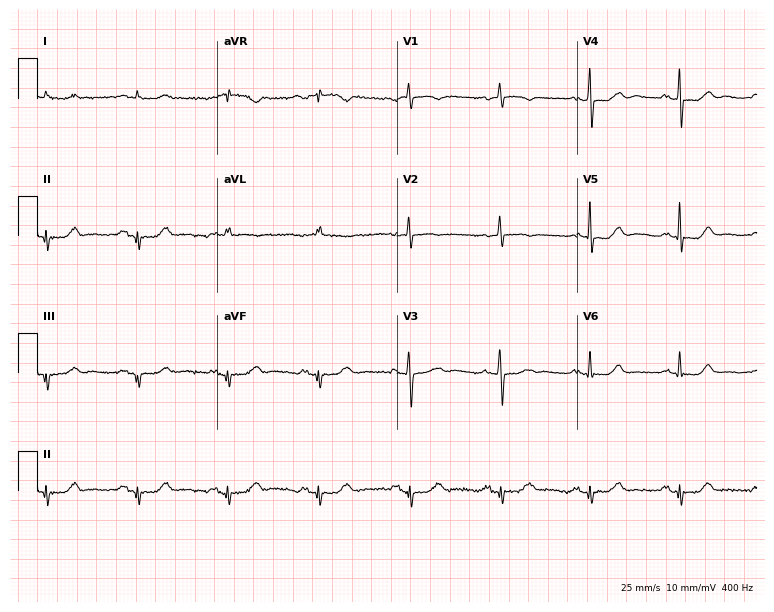
12-lead ECG from a female, 82 years old (7.3-second recording at 400 Hz). No first-degree AV block, right bundle branch block (RBBB), left bundle branch block (LBBB), sinus bradycardia, atrial fibrillation (AF) or sinus tachycardia recorded for this tracing.